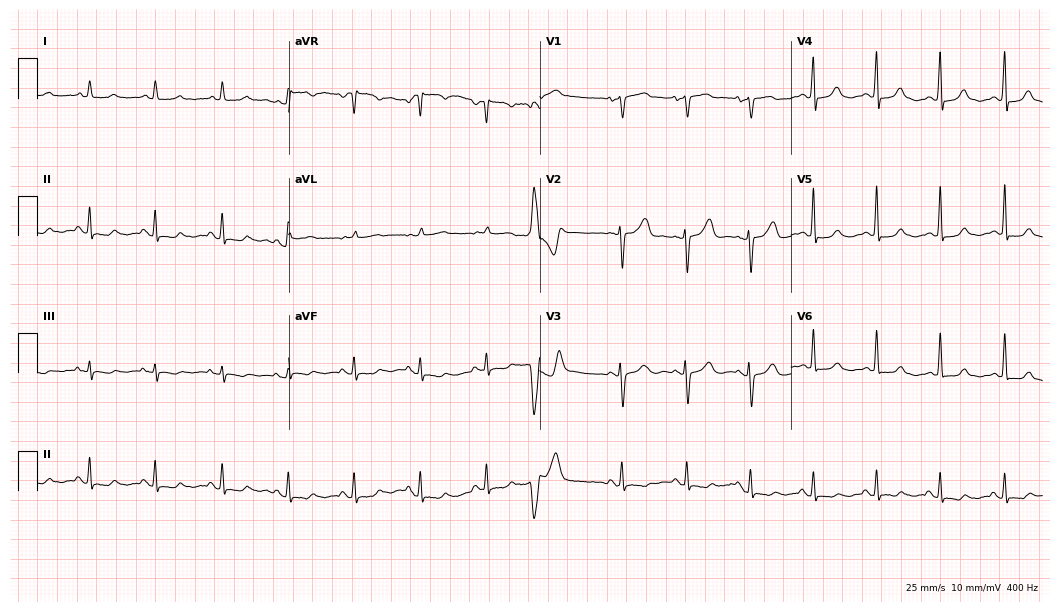
Resting 12-lead electrocardiogram. Patient: a 79-year-old female. None of these six findings is recorded: first-degree AV block, right bundle branch block (RBBB), left bundle branch block (LBBB), sinus bradycardia, atrial fibrillation (AF), sinus tachycardia. Findings outside these six are not listed.